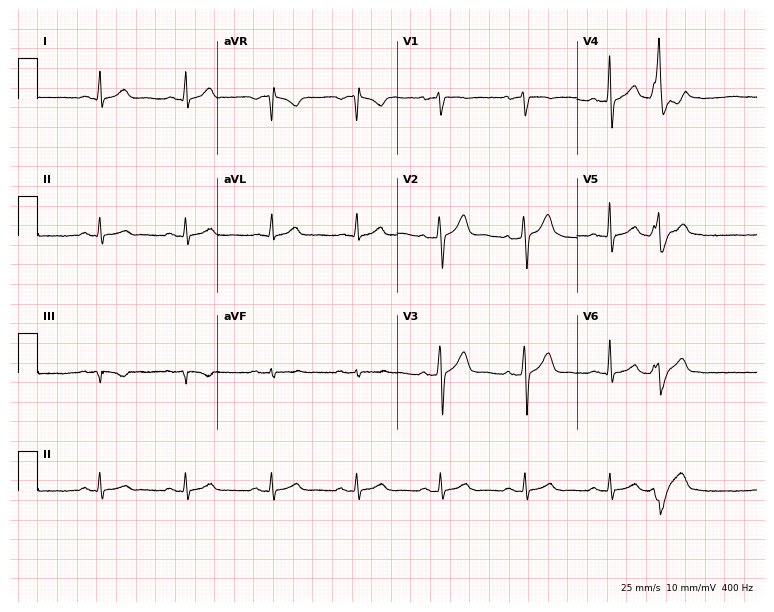
Electrocardiogram (7.3-second recording at 400 Hz), a male, 45 years old. Of the six screened findings (first-degree AV block, right bundle branch block, left bundle branch block, sinus bradycardia, atrial fibrillation, sinus tachycardia), none is recorded.